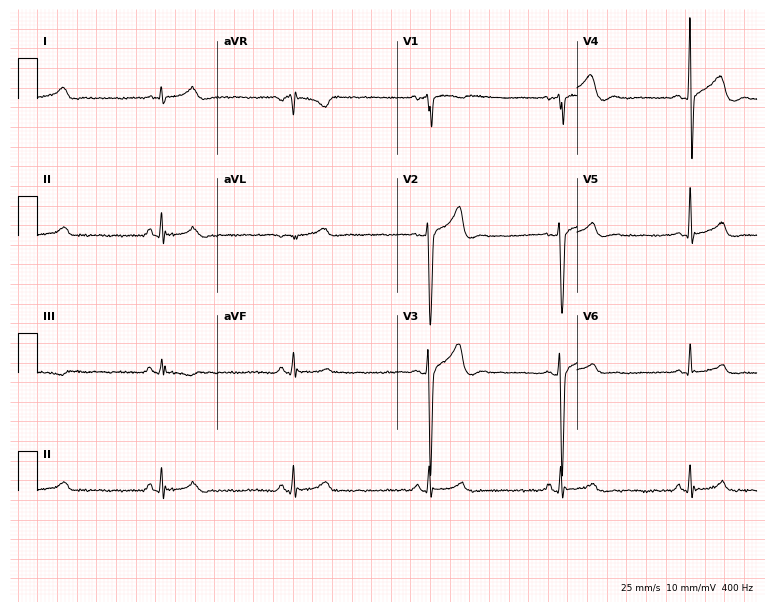
Resting 12-lead electrocardiogram. Patient: a 30-year-old man. The tracing shows sinus bradycardia (a sinus rate of 50 beats per minute or less).